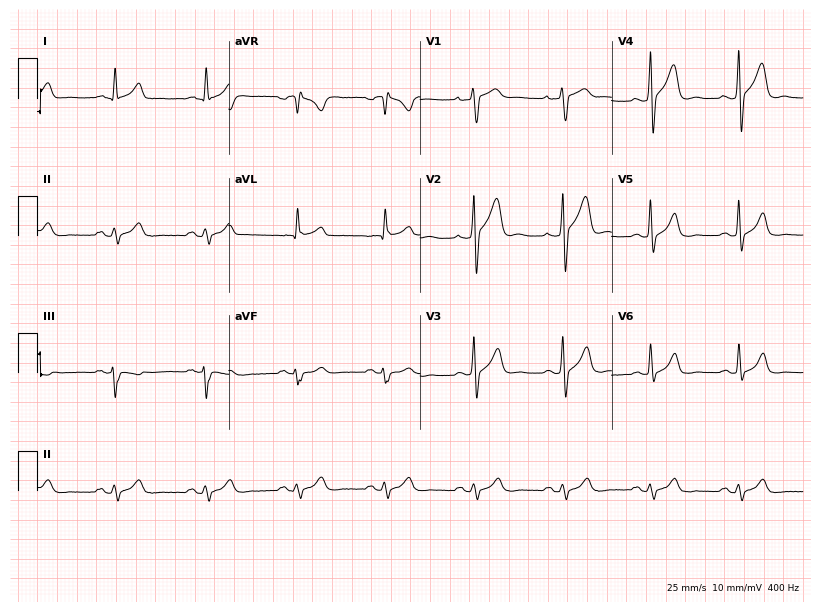
ECG — a 51-year-old male patient. Labelled as a normal ECG.